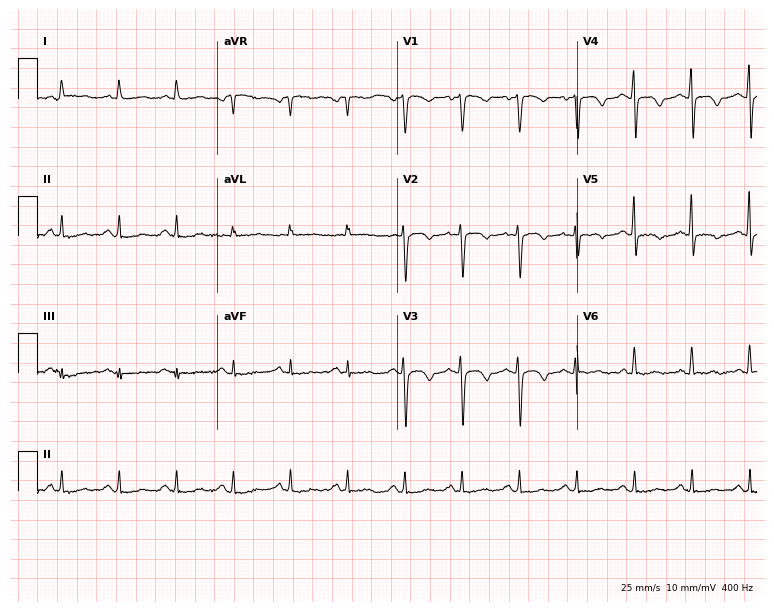
Resting 12-lead electrocardiogram (7.3-second recording at 400 Hz). Patient: a 36-year-old woman. The tracing shows sinus tachycardia (a sinus rate of 100 beats per minute or more).